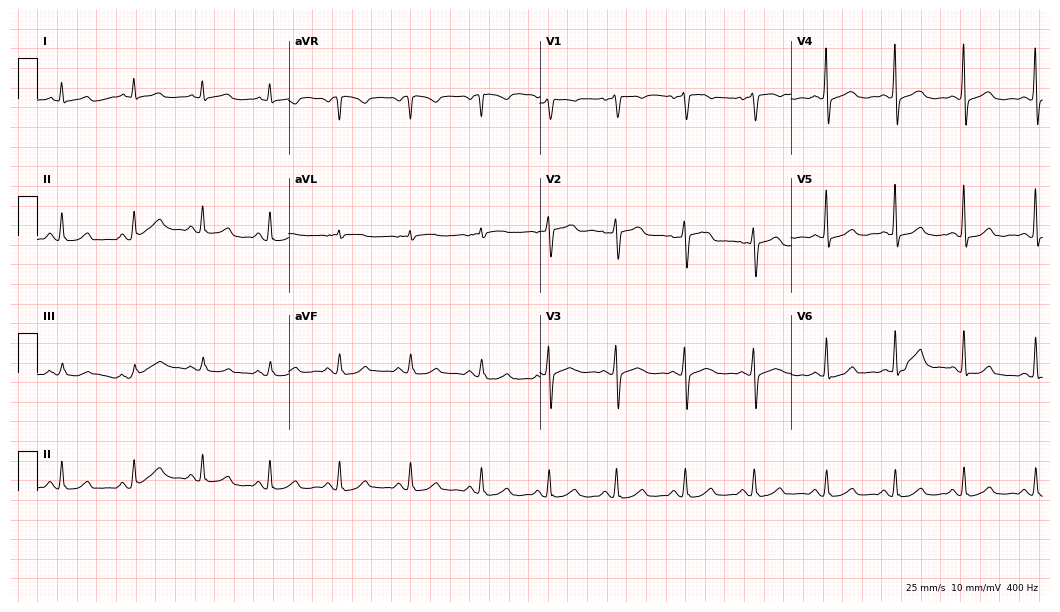
Resting 12-lead electrocardiogram. Patient: a 61-year-old woman. Read as a normal ECG.